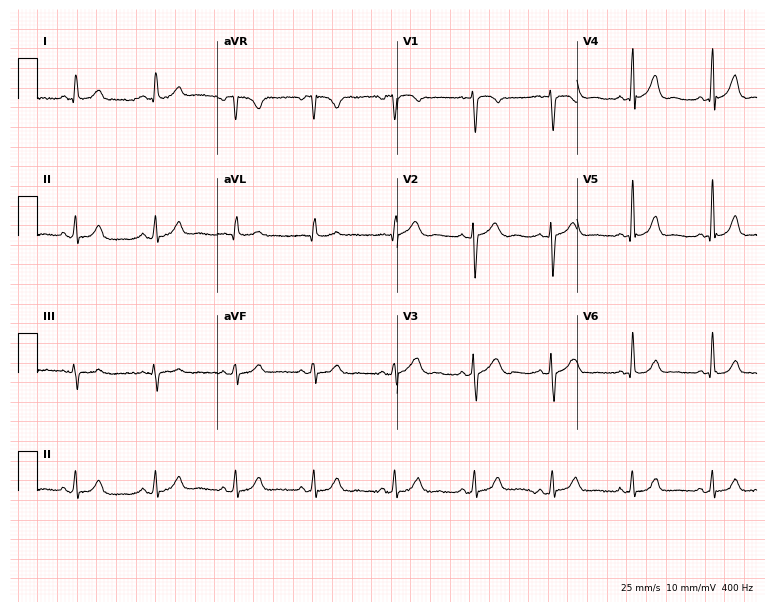
Resting 12-lead electrocardiogram (7.3-second recording at 400 Hz). Patient: a male, 71 years old. Read as a normal ECG.